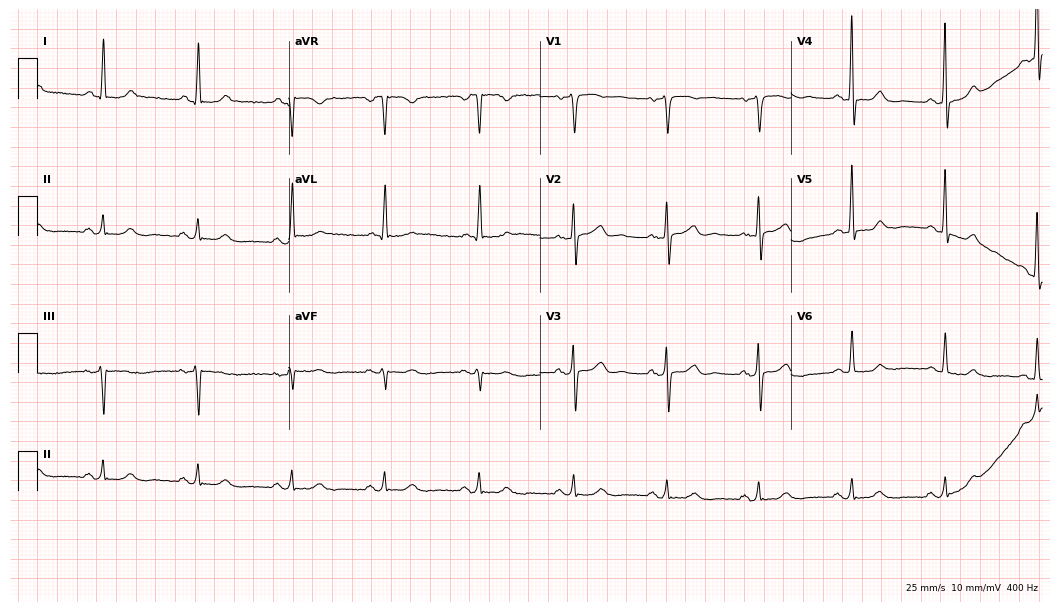
ECG — a 73-year-old woman. Labelled as a normal ECG.